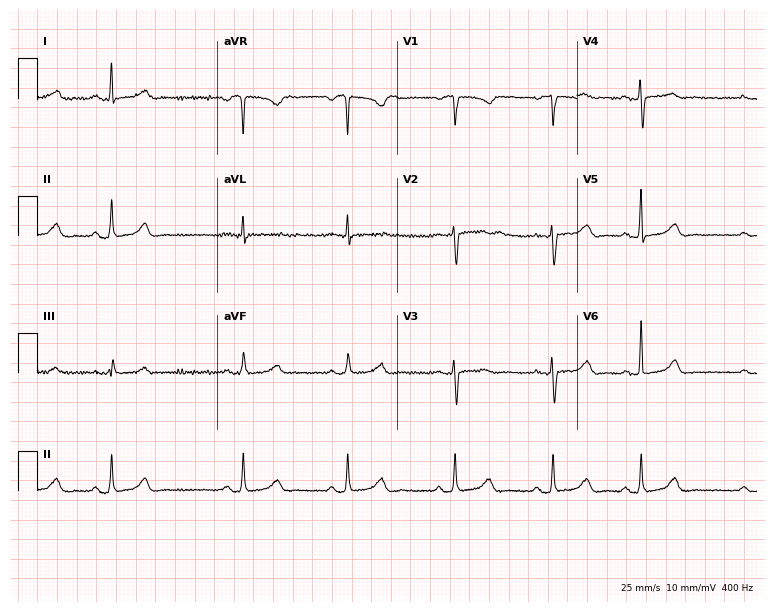
12-lead ECG from a 47-year-old female. Recorded interpretation: within normal limits.